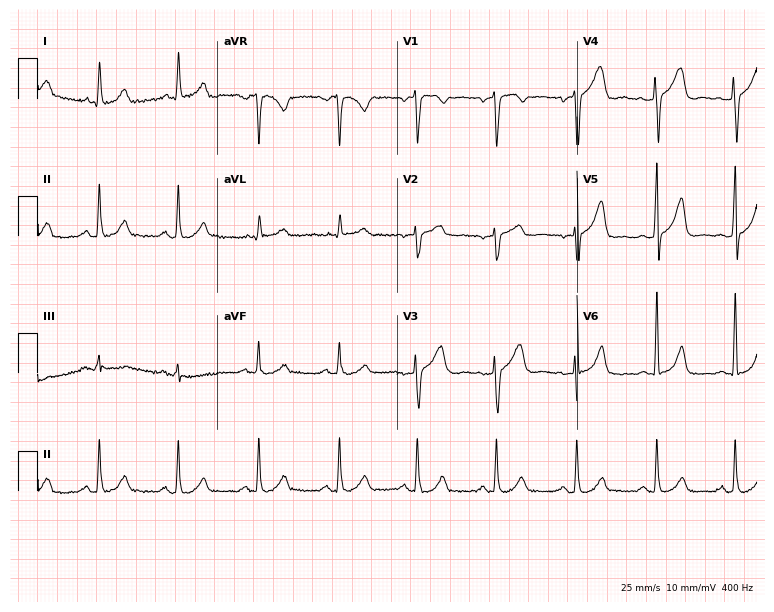
Standard 12-lead ECG recorded from a 50-year-old woman (7.3-second recording at 400 Hz). Read as a normal ECG.